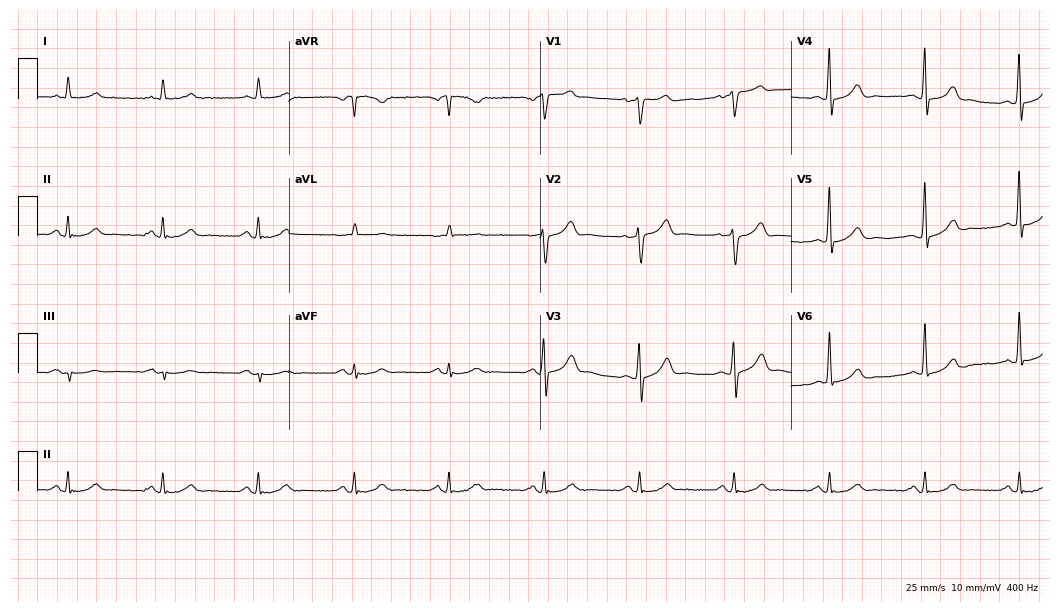
Electrocardiogram, a 76-year-old male. Overall reading on record: normal ECG.